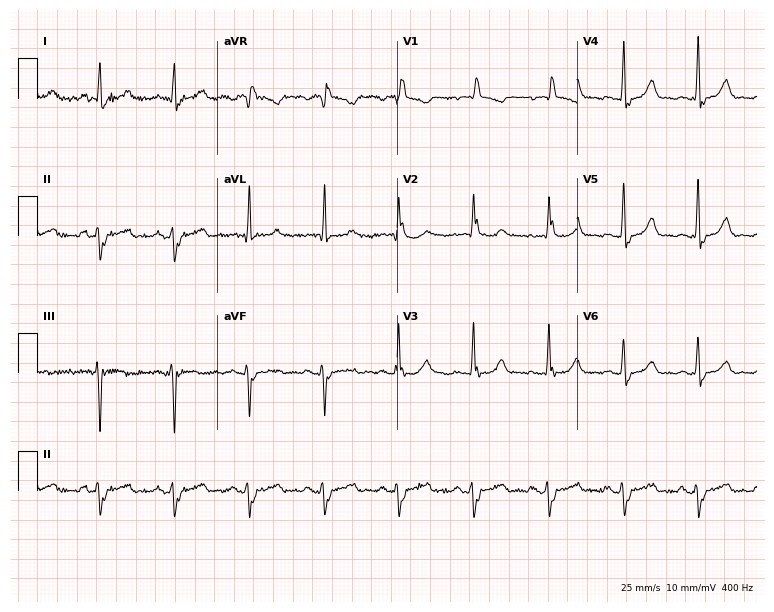
12-lead ECG from a female patient, 69 years old. Findings include right bundle branch block (RBBB).